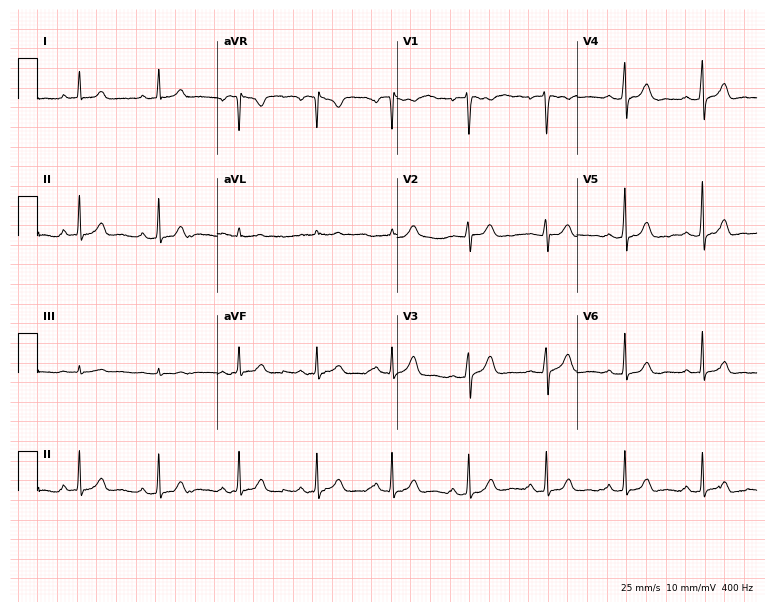
Standard 12-lead ECG recorded from a woman, 29 years old (7.3-second recording at 400 Hz). None of these six findings is recorded: first-degree AV block, right bundle branch block, left bundle branch block, sinus bradycardia, atrial fibrillation, sinus tachycardia.